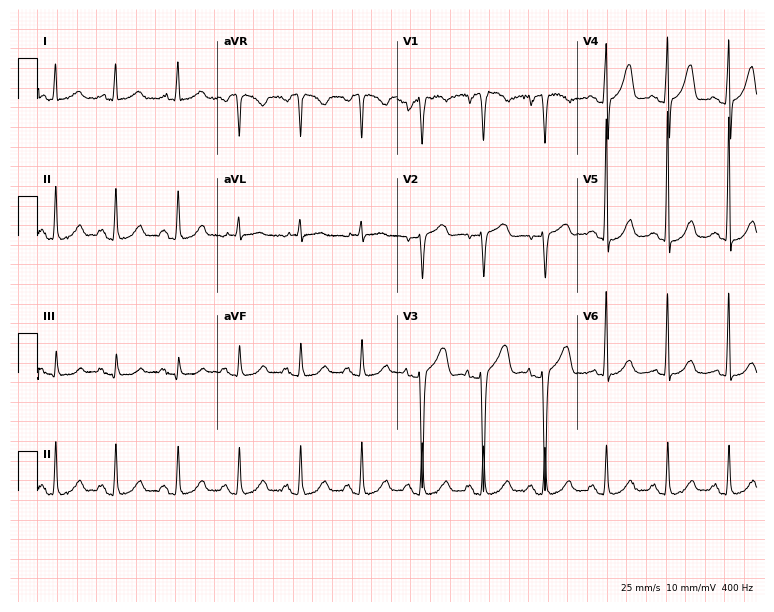
12-lead ECG (7.3-second recording at 400 Hz) from a 77-year-old female. Screened for six findings — first-degree AV block, right bundle branch block, left bundle branch block, sinus bradycardia, atrial fibrillation, sinus tachycardia — none is recorded.